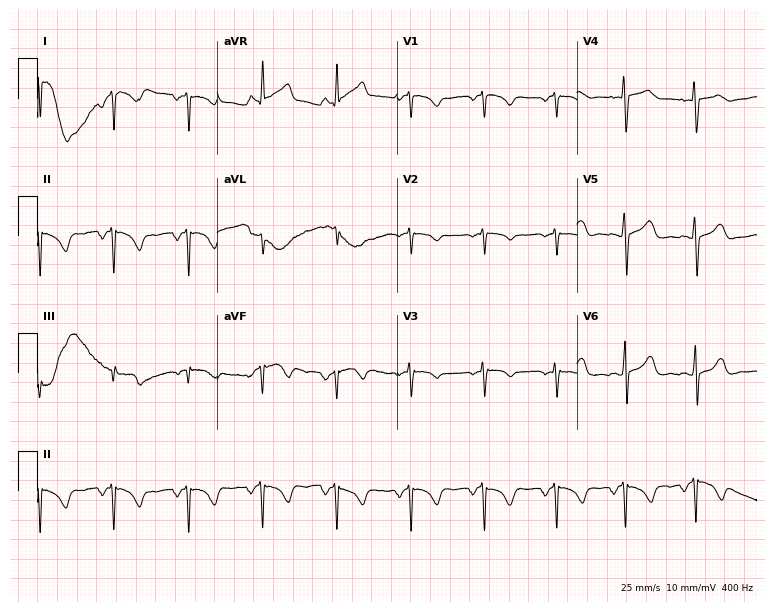
12-lead ECG (7.3-second recording at 400 Hz) from a woman, 33 years old. Screened for six findings — first-degree AV block, right bundle branch block, left bundle branch block, sinus bradycardia, atrial fibrillation, sinus tachycardia — none is recorded. Other findings, if any, are not listed.